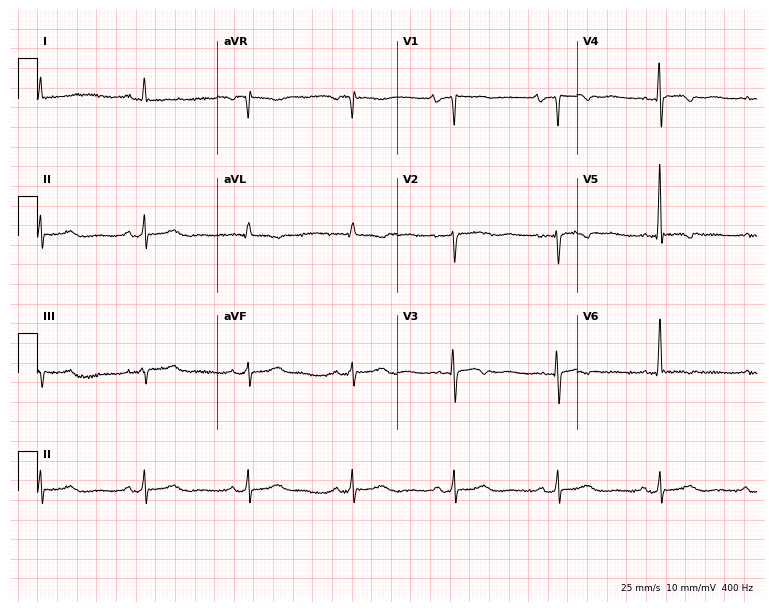
Electrocardiogram, a 72-year-old male. Of the six screened findings (first-degree AV block, right bundle branch block (RBBB), left bundle branch block (LBBB), sinus bradycardia, atrial fibrillation (AF), sinus tachycardia), none is recorded. Findings outside these six are not listed.